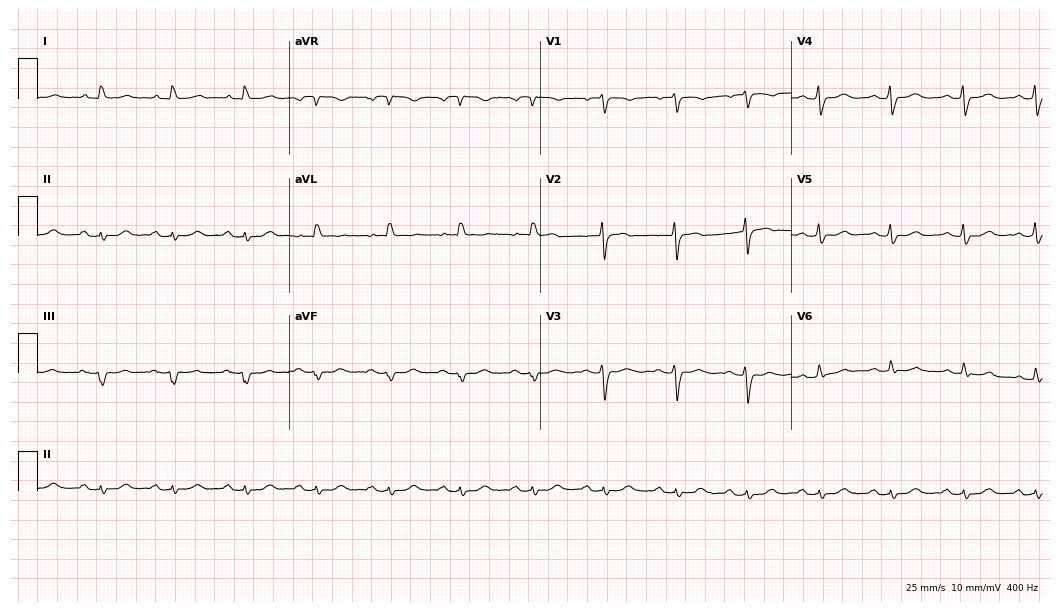
12-lead ECG from an 82-year-old female (10.2-second recording at 400 Hz). Recorded interpretation: within normal limits.